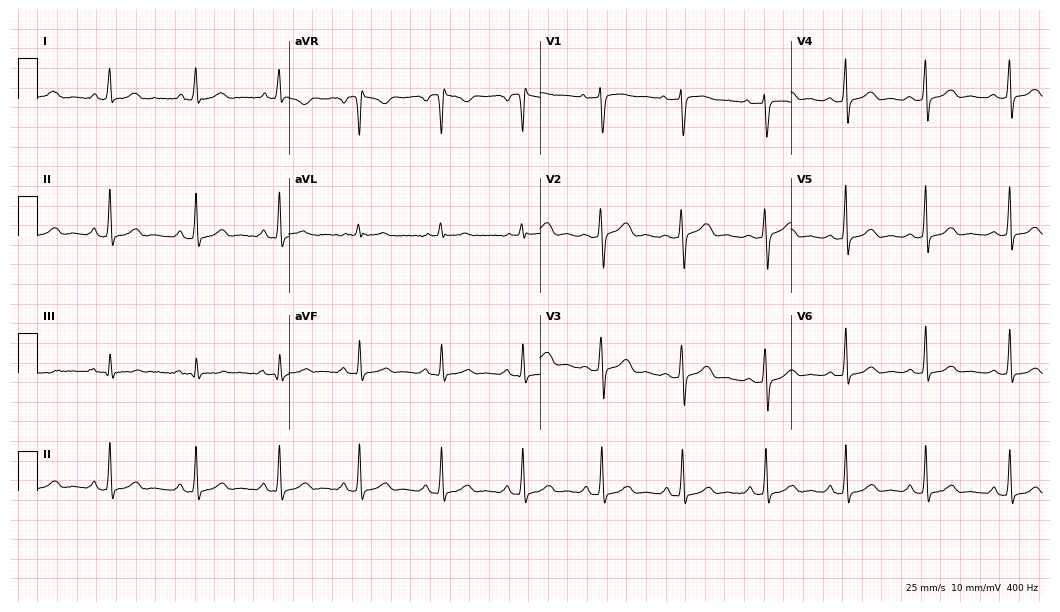
Electrocardiogram, a 76-year-old female. Overall reading on record: normal ECG.